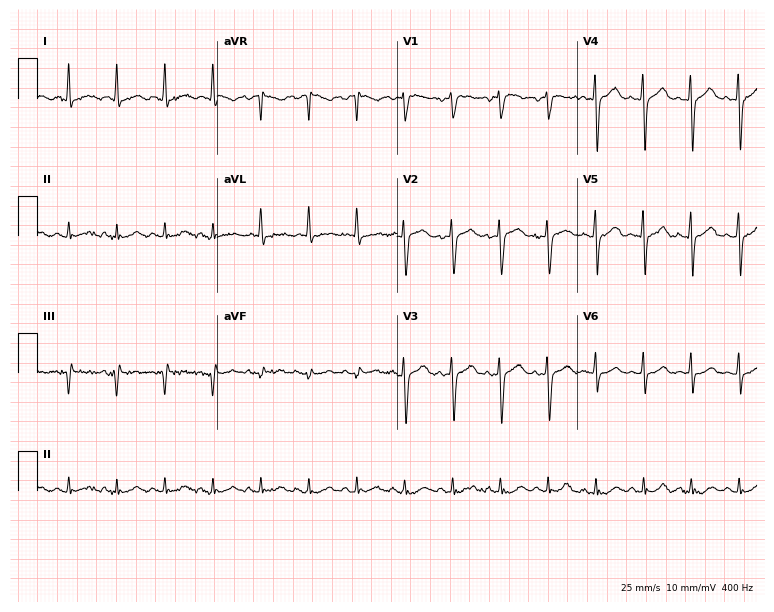
ECG — a woman, 44 years old. Findings include sinus tachycardia (a sinus rate of 100 beats per minute or more).